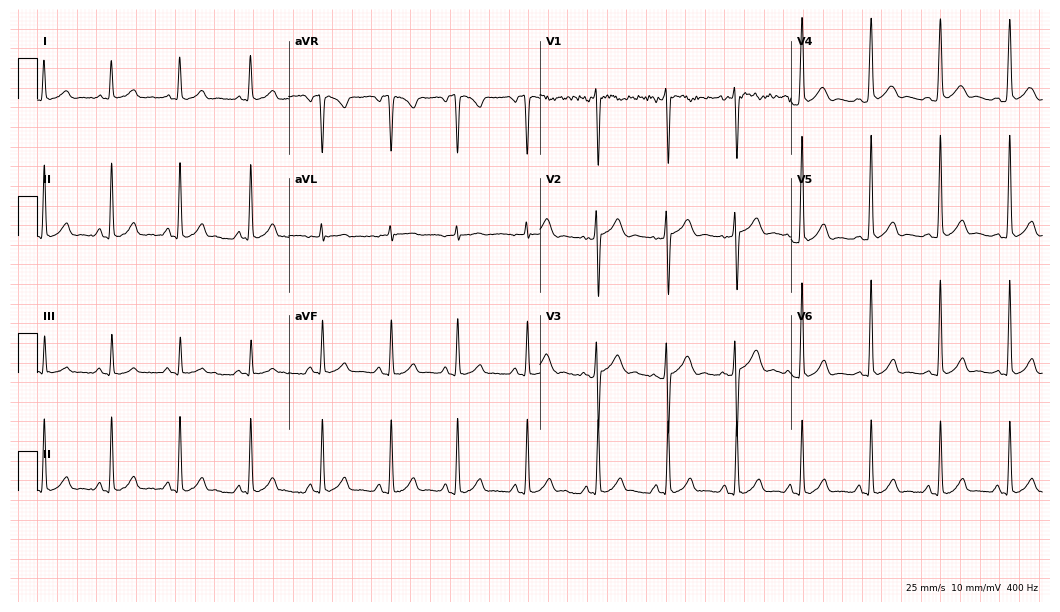
Standard 12-lead ECG recorded from a man, 17 years old (10.2-second recording at 400 Hz). Read as a normal ECG.